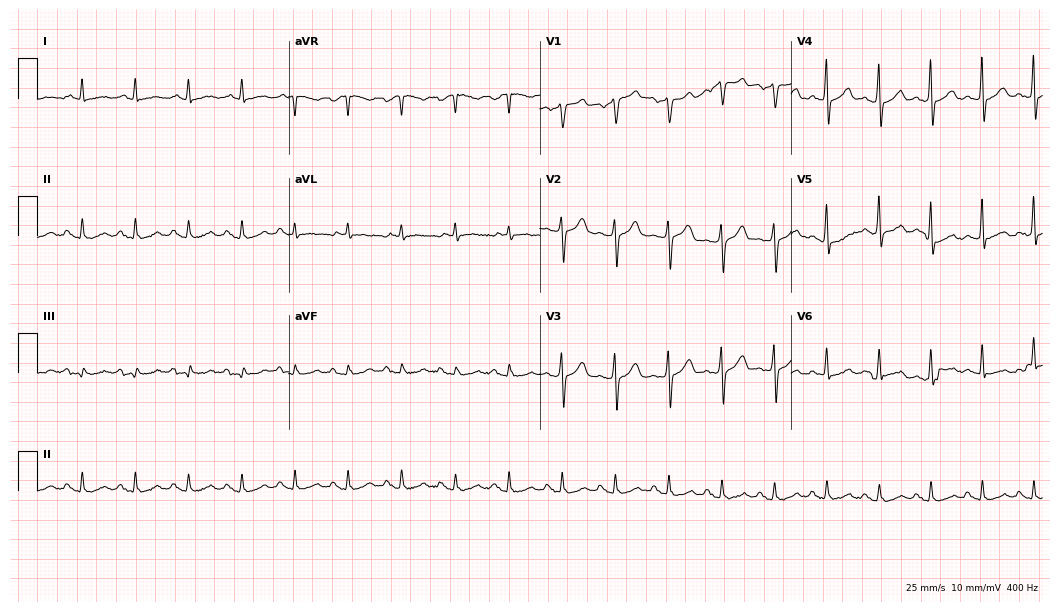
12-lead ECG from a 68-year-old male patient (10.2-second recording at 400 Hz). Shows sinus tachycardia (a sinus rate of 100 beats per minute or more).